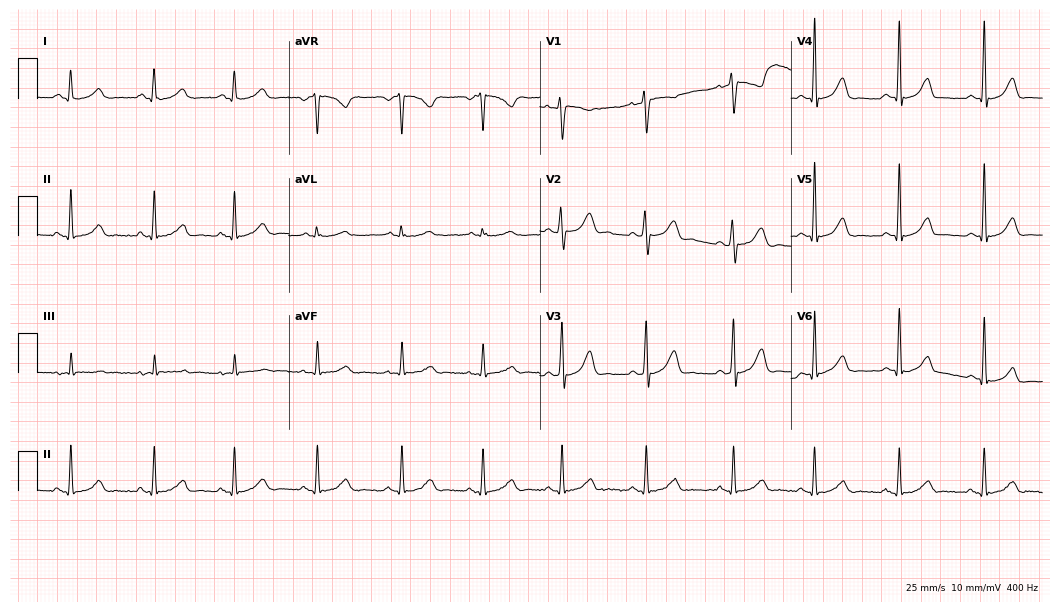
ECG (10.2-second recording at 400 Hz) — a 34-year-old female. Screened for six findings — first-degree AV block, right bundle branch block, left bundle branch block, sinus bradycardia, atrial fibrillation, sinus tachycardia — none is recorded.